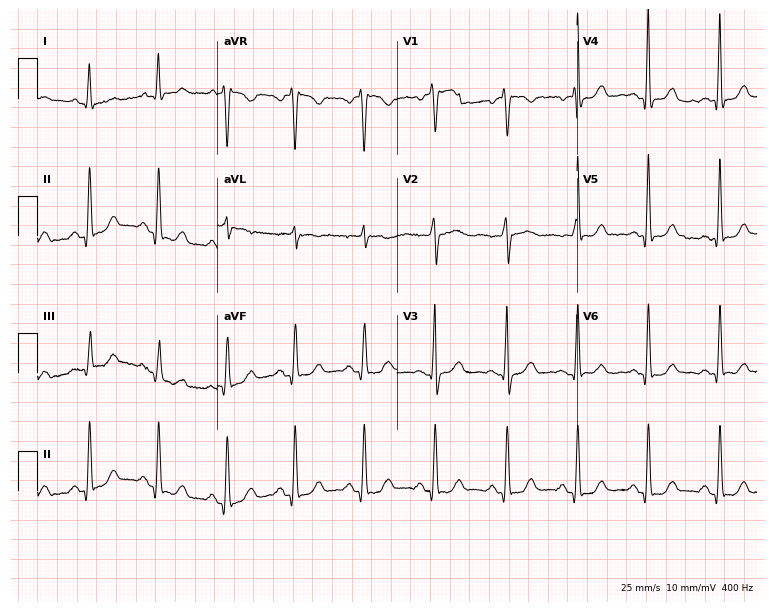
ECG — a female, 47 years old. Labelled as a normal ECG.